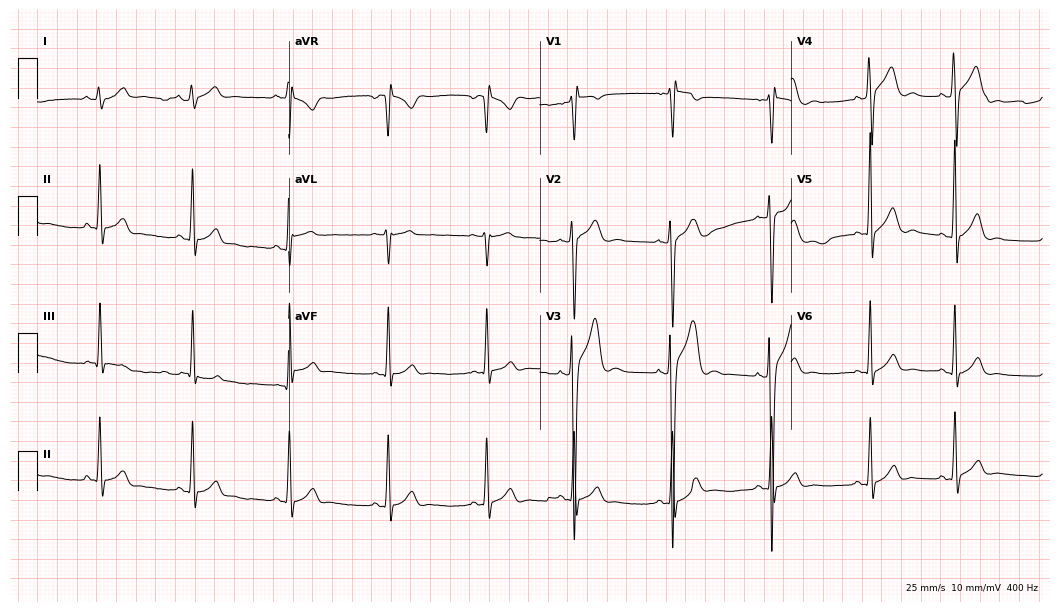
12-lead ECG from a male patient, 17 years old (10.2-second recording at 400 Hz). No first-degree AV block, right bundle branch block (RBBB), left bundle branch block (LBBB), sinus bradycardia, atrial fibrillation (AF) or sinus tachycardia recorded for this tracing. Findings outside these six are not listed.